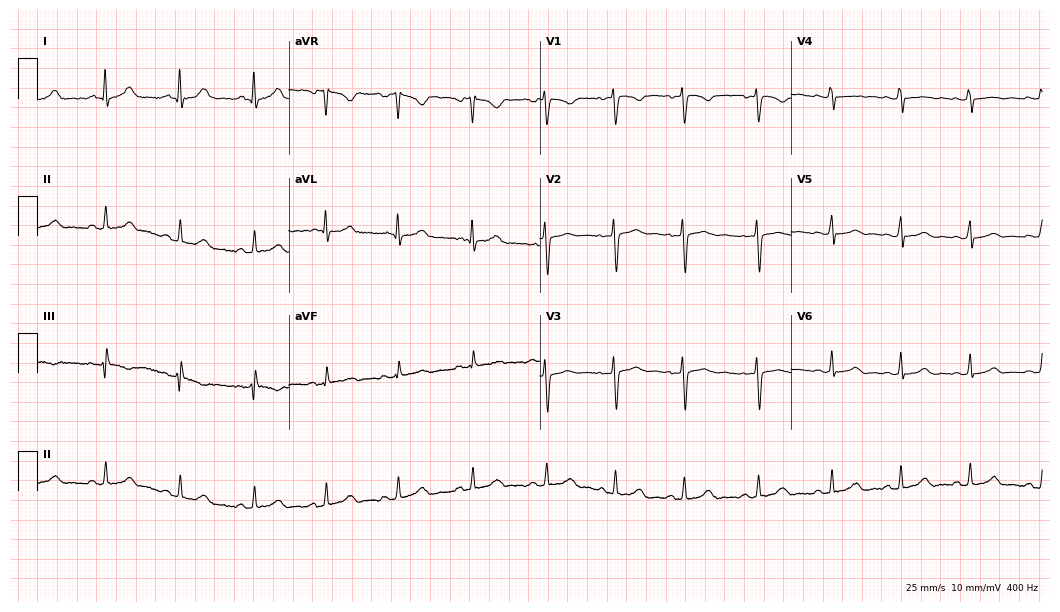
Electrocardiogram, a female patient, 28 years old. Of the six screened findings (first-degree AV block, right bundle branch block (RBBB), left bundle branch block (LBBB), sinus bradycardia, atrial fibrillation (AF), sinus tachycardia), none is recorded. Only these six findings were labelled.